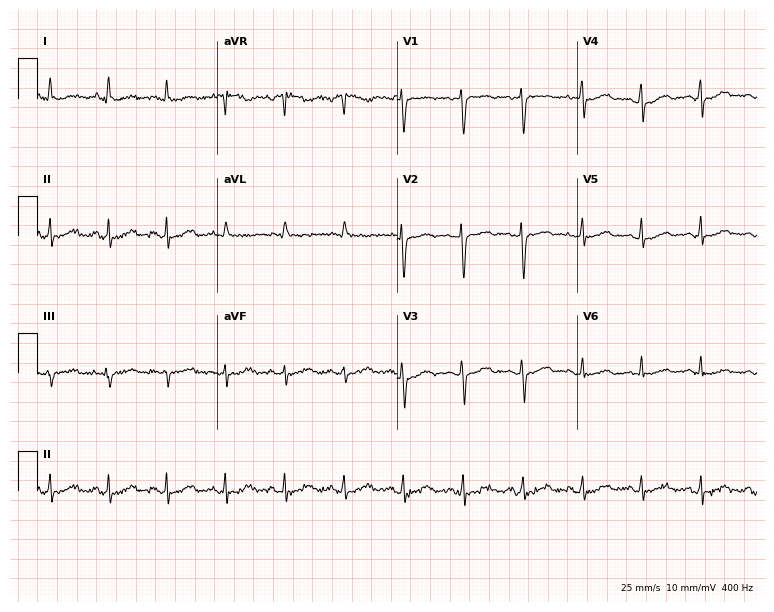
ECG — a female, 42 years old. Screened for six findings — first-degree AV block, right bundle branch block, left bundle branch block, sinus bradycardia, atrial fibrillation, sinus tachycardia — none is recorded.